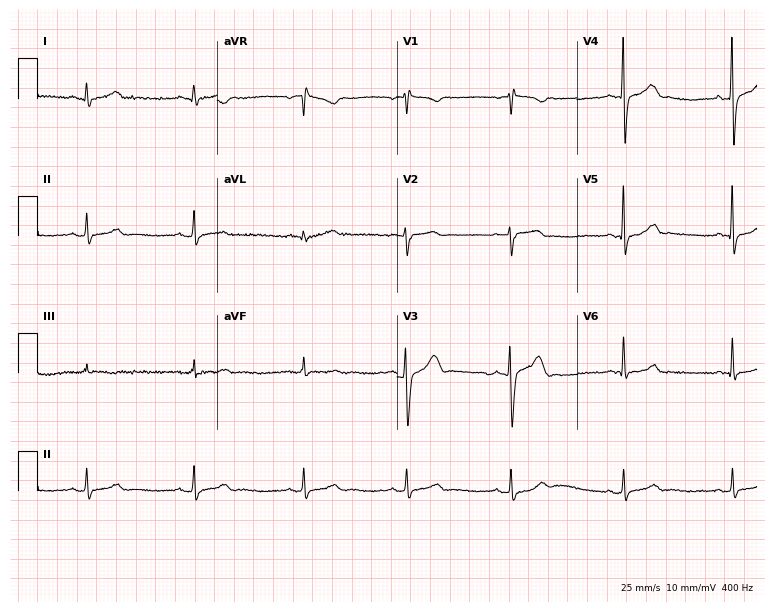
12-lead ECG from a 31-year-old male patient. Labelled as a normal ECG.